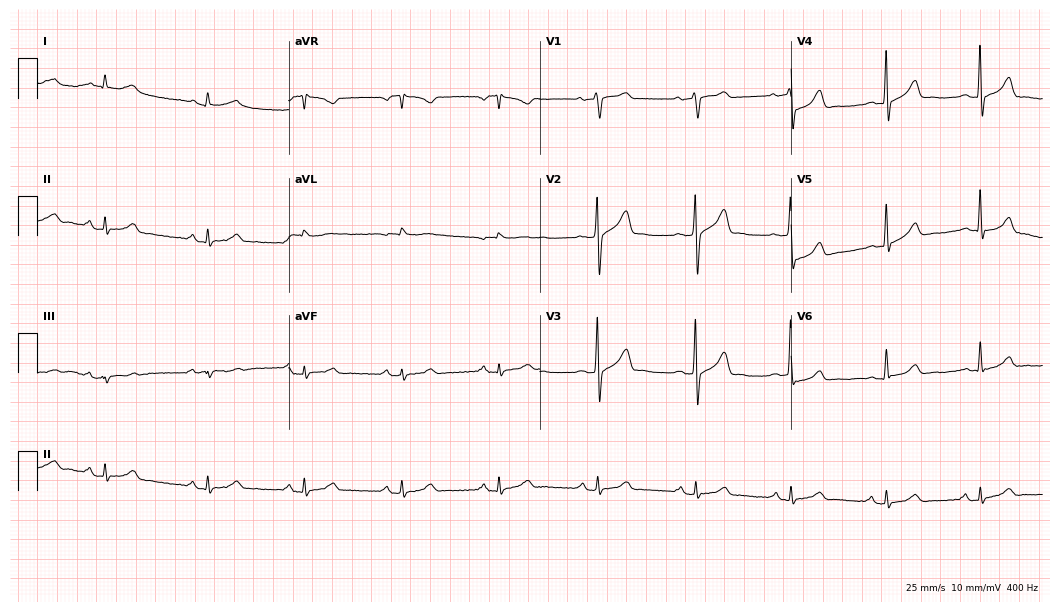
12-lead ECG from a 78-year-old male. Recorded interpretation: within normal limits.